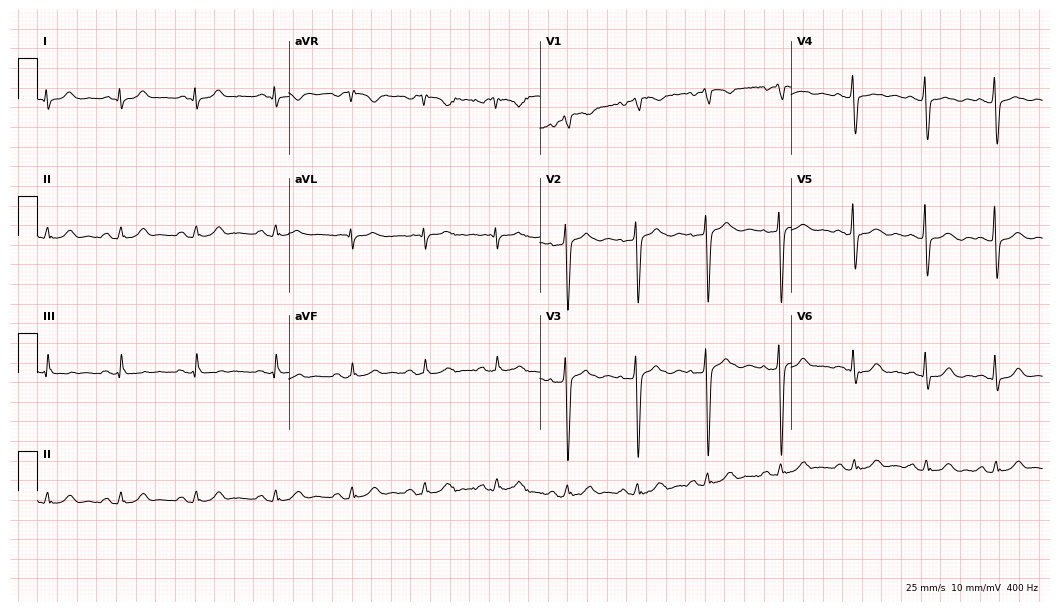
12-lead ECG from a 46-year-old man (10.2-second recording at 400 Hz). Recorded interpretation: within normal limits.